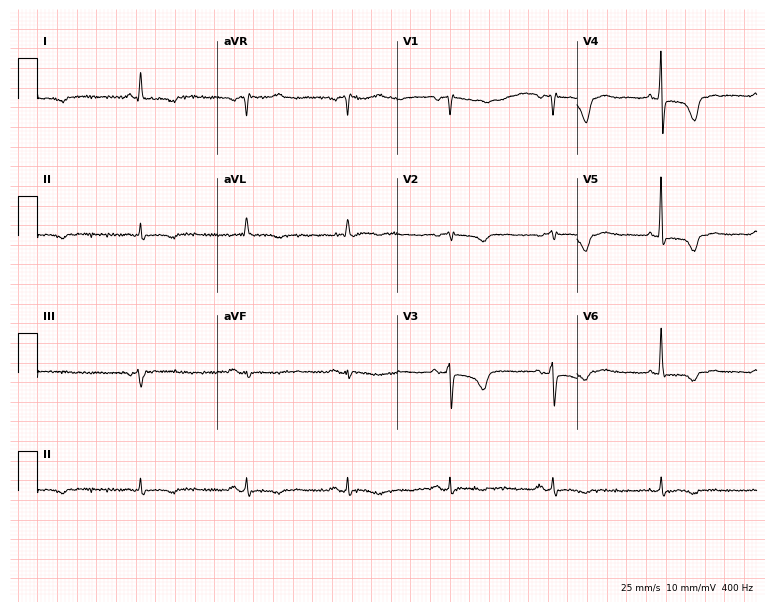
ECG (7.3-second recording at 400 Hz) — a female patient, 77 years old. Screened for six findings — first-degree AV block, right bundle branch block (RBBB), left bundle branch block (LBBB), sinus bradycardia, atrial fibrillation (AF), sinus tachycardia — none is recorded.